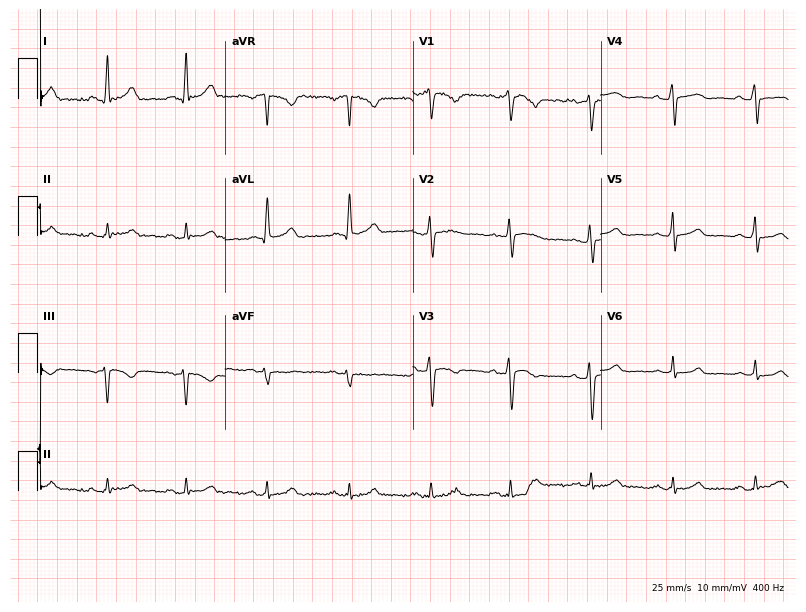
Resting 12-lead electrocardiogram (7.7-second recording at 400 Hz). Patient: a 51-year-old woman. None of these six findings is recorded: first-degree AV block, right bundle branch block, left bundle branch block, sinus bradycardia, atrial fibrillation, sinus tachycardia.